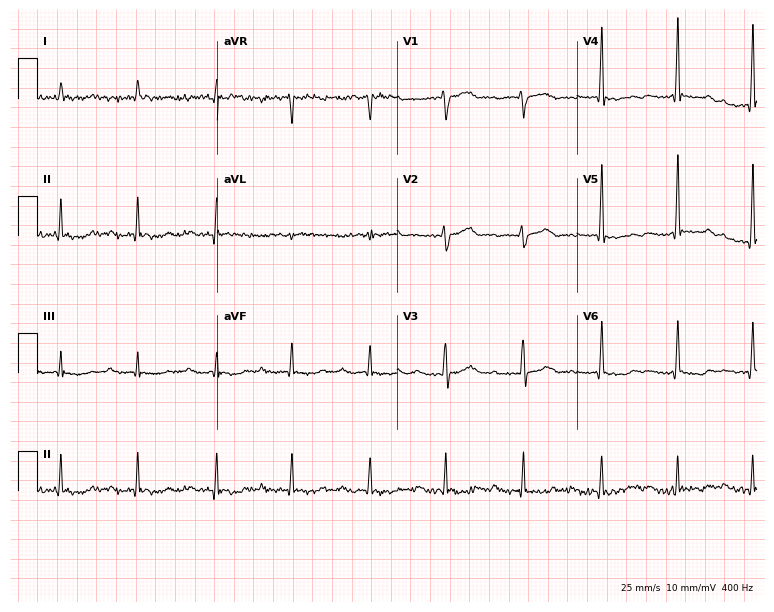
Standard 12-lead ECG recorded from an 84-year-old male patient. None of these six findings is recorded: first-degree AV block, right bundle branch block (RBBB), left bundle branch block (LBBB), sinus bradycardia, atrial fibrillation (AF), sinus tachycardia.